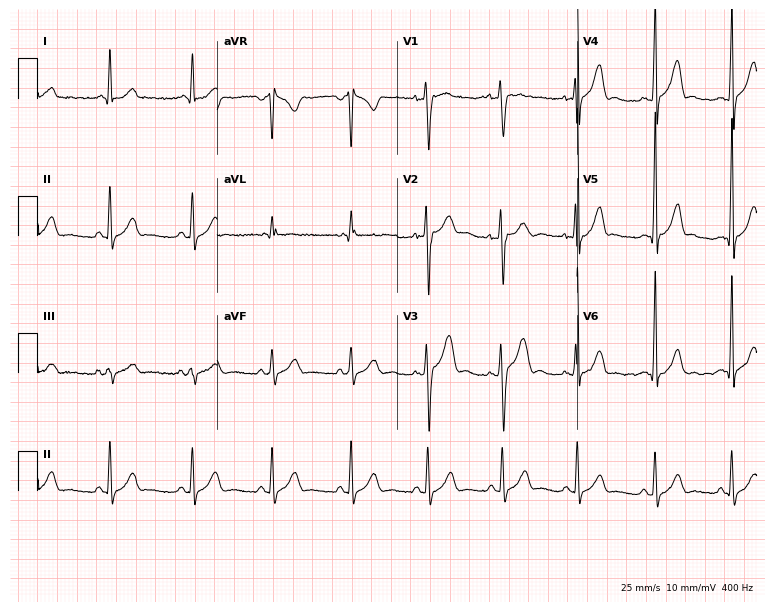
12-lead ECG (7.3-second recording at 400 Hz) from a 19-year-old male. Labelled as a normal ECG.